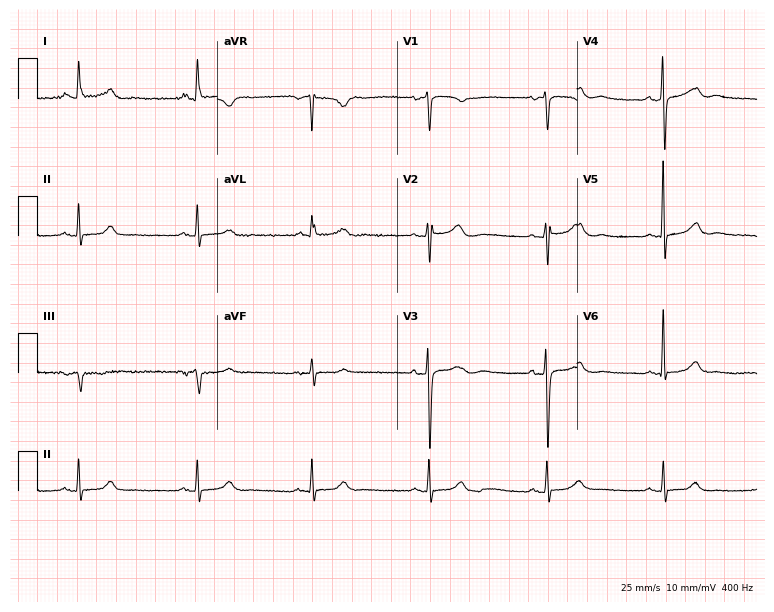
ECG (7.3-second recording at 400 Hz) — a 75-year-old woman. Screened for six findings — first-degree AV block, right bundle branch block, left bundle branch block, sinus bradycardia, atrial fibrillation, sinus tachycardia — none is recorded. Findings outside these six are not listed.